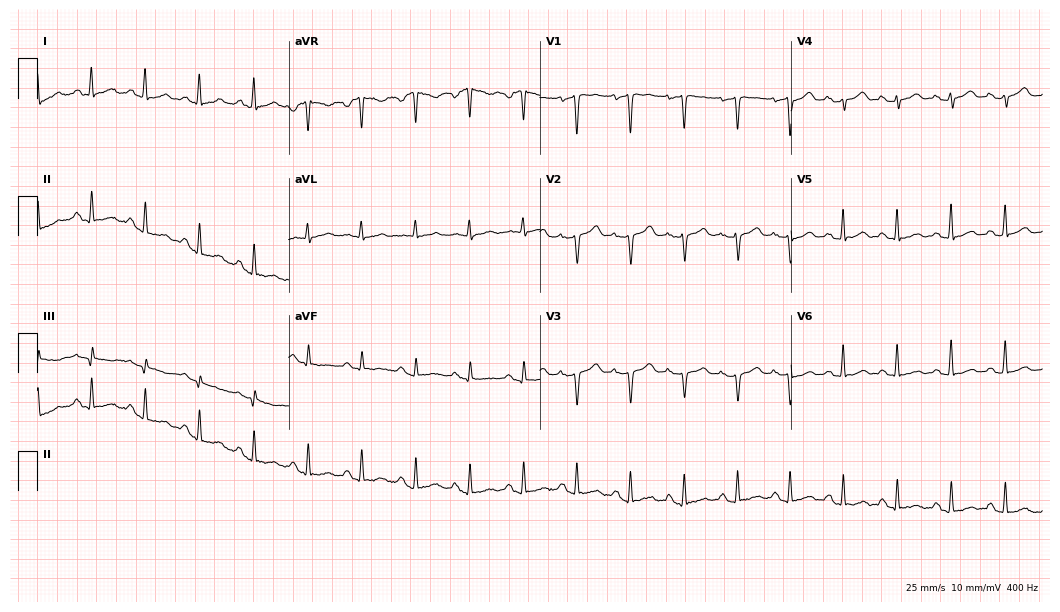
Resting 12-lead electrocardiogram. Patient: a 40-year-old female. The tracing shows sinus tachycardia (a sinus rate of 100 beats per minute or more).